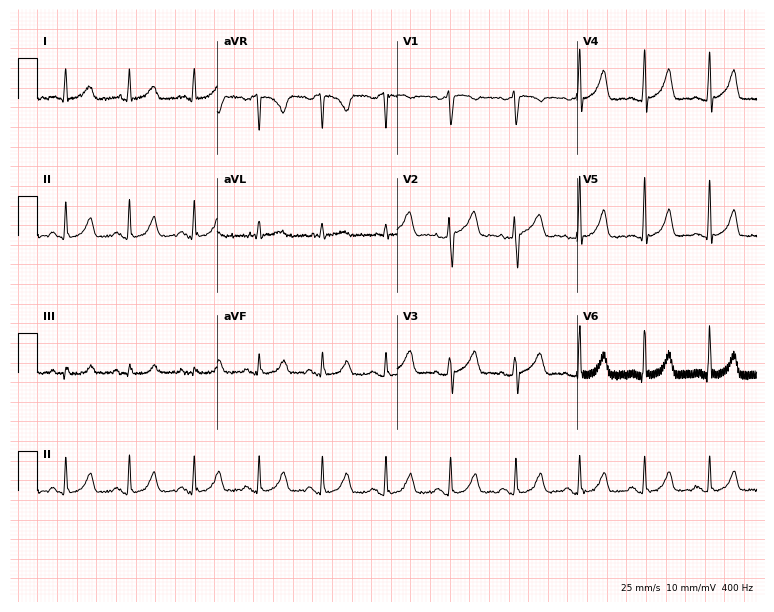
Electrocardiogram (7.3-second recording at 400 Hz), a 52-year-old woman. Overall reading on record: normal ECG.